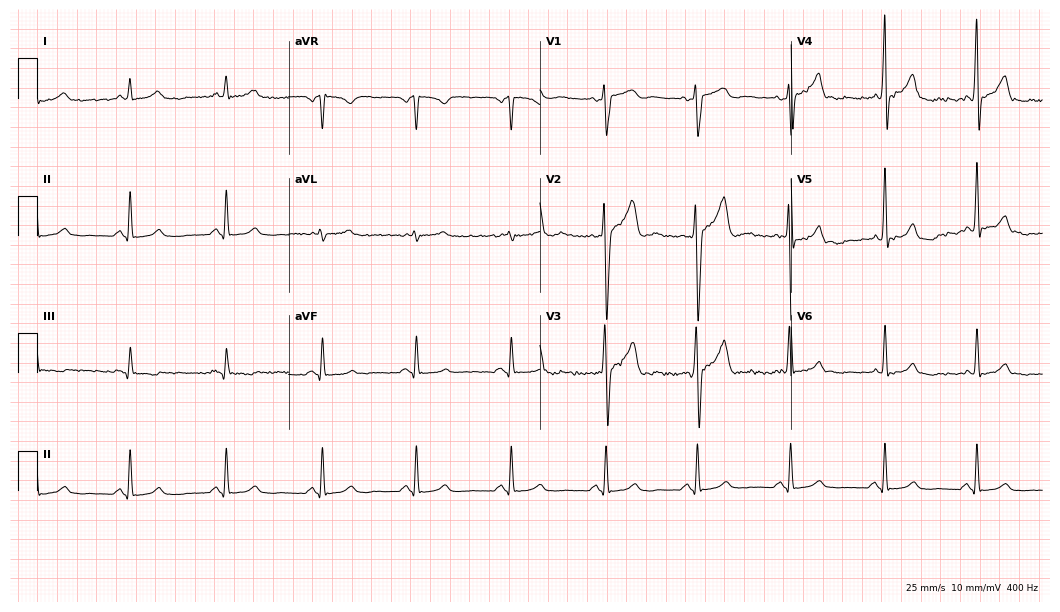
12-lead ECG (10.2-second recording at 400 Hz) from a 49-year-old male patient. Labelled as a normal ECG.